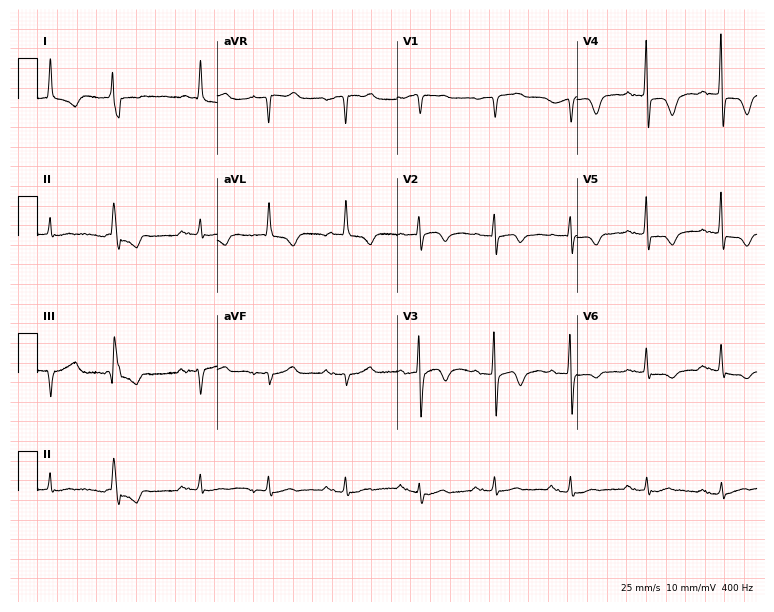
ECG — a 65-year-old man. Screened for six findings — first-degree AV block, right bundle branch block (RBBB), left bundle branch block (LBBB), sinus bradycardia, atrial fibrillation (AF), sinus tachycardia — none is recorded.